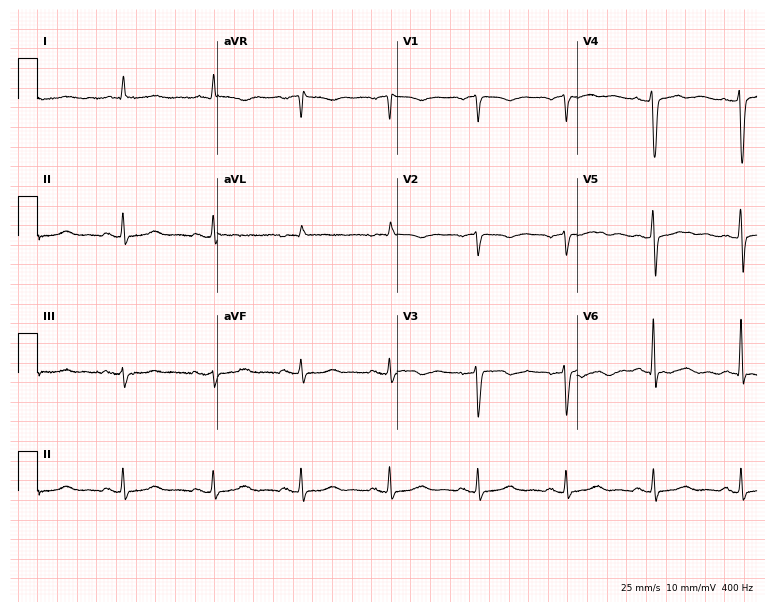
12-lead ECG (7.3-second recording at 400 Hz) from a 76-year-old male. Screened for six findings — first-degree AV block, right bundle branch block, left bundle branch block, sinus bradycardia, atrial fibrillation, sinus tachycardia — none is recorded.